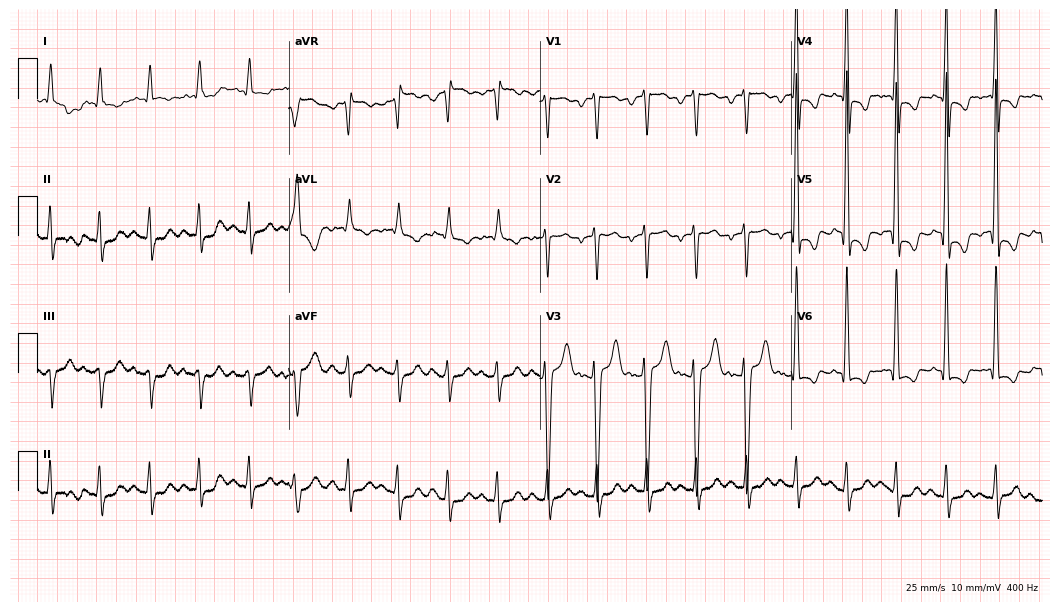
12-lead ECG from a 74-year-old male patient. Findings include sinus tachycardia (a sinus rate of 100 beats per minute or more).